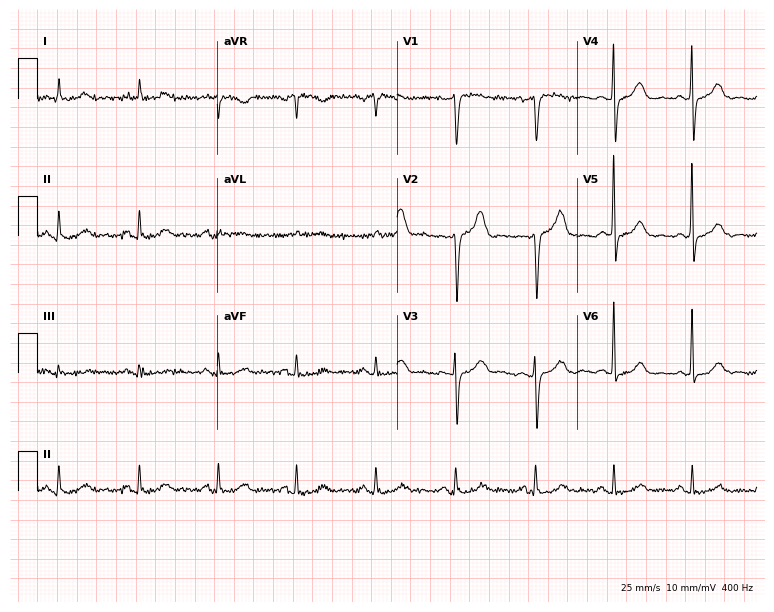
12-lead ECG from a female, 84 years old. Recorded interpretation: within normal limits.